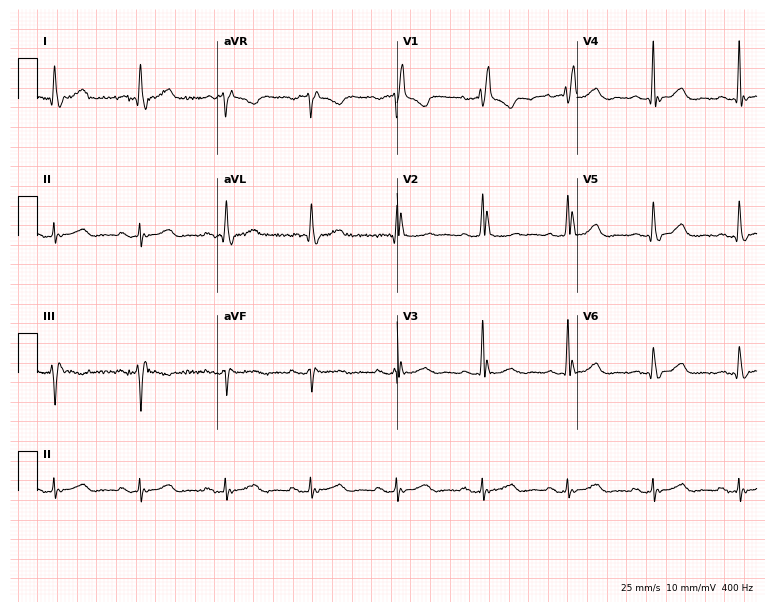
Electrocardiogram, a female patient, 83 years old. Interpretation includes right bundle branch block.